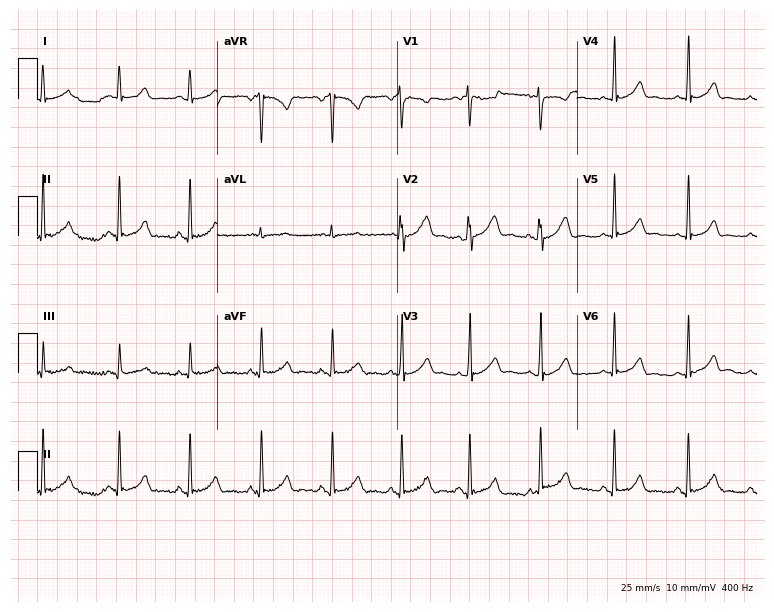
ECG — a 20-year-old female. Labelled as a normal ECG.